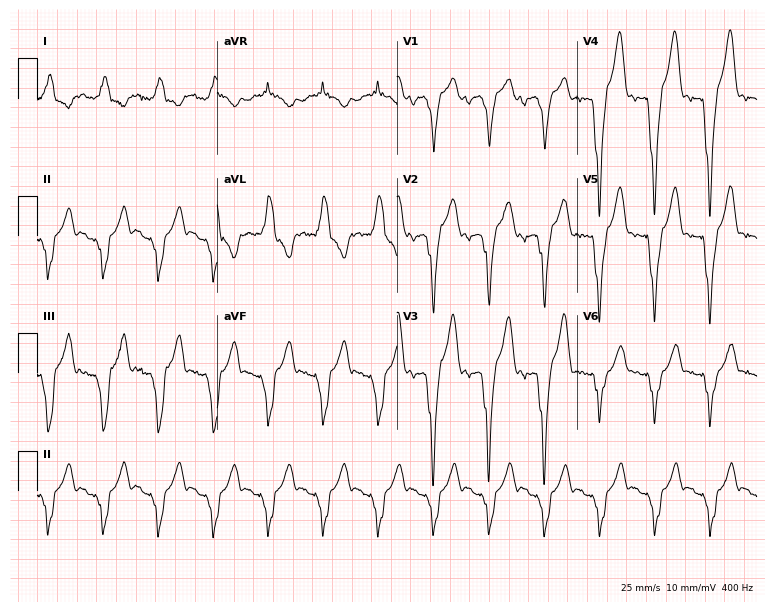
12-lead ECG from a 74-year-old male (7.3-second recording at 400 Hz). Shows sinus tachycardia (a sinus rate of 100 beats per minute or more).